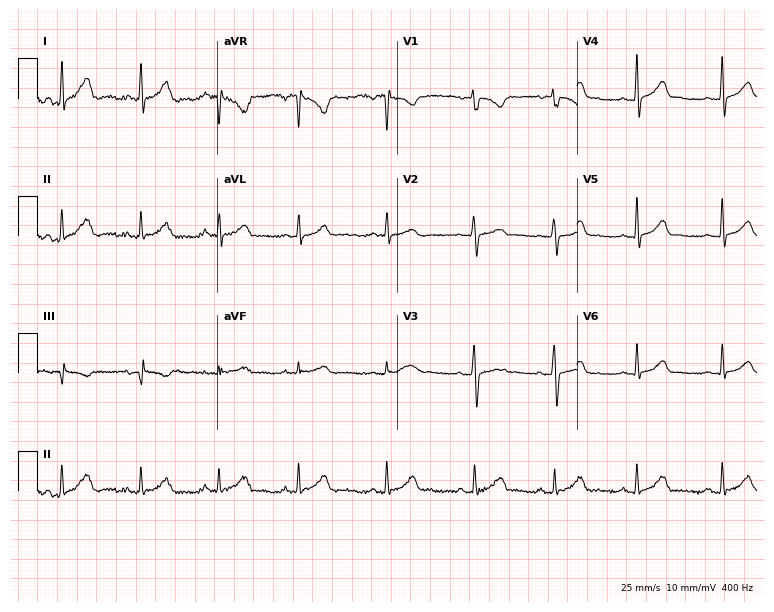
Standard 12-lead ECG recorded from a 21-year-old female patient (7.3-second recording at 400 Hz). Read as a normal ECG.